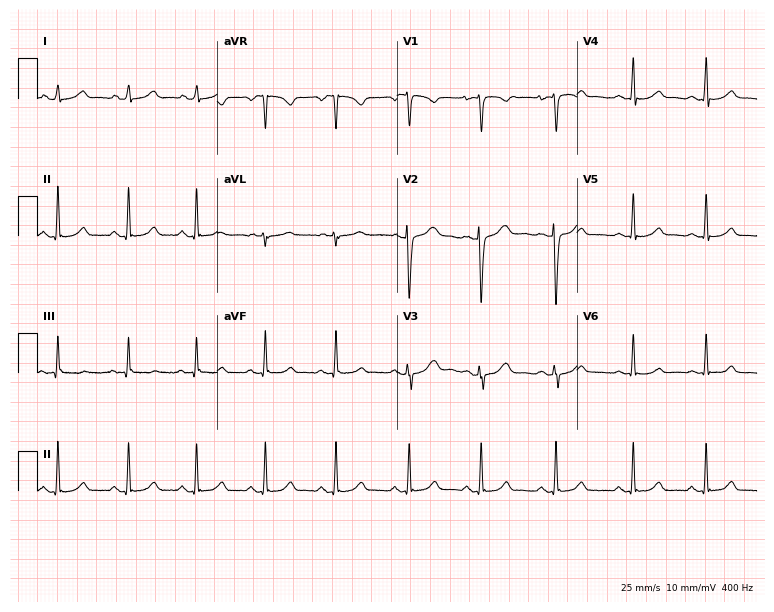
ECG — a woman, 23 years old. Labelled as a normal ECG.